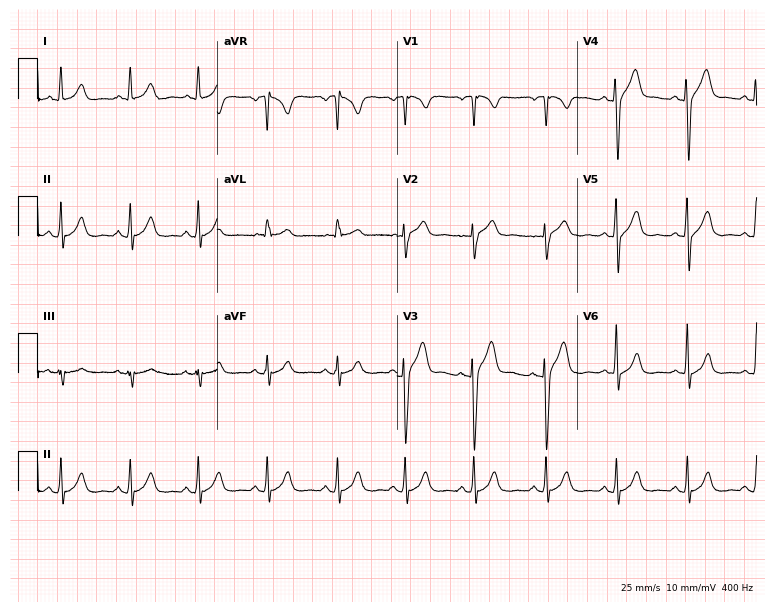
Standard 12-lead ECG recorded from a 25-year-old male (7.3-second recording at 400 Hz). Read as a normal ECG.